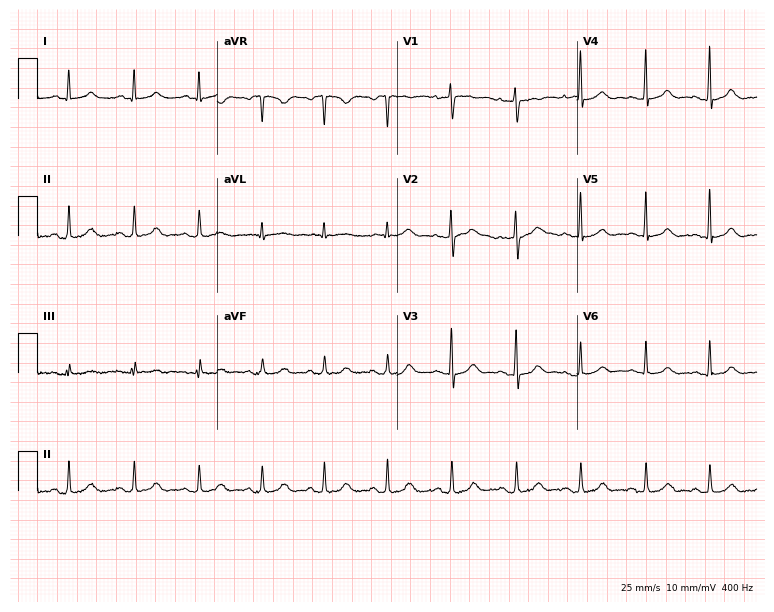
12-lead ECG from a female, 40 years old. Labelled as a normal ECG.